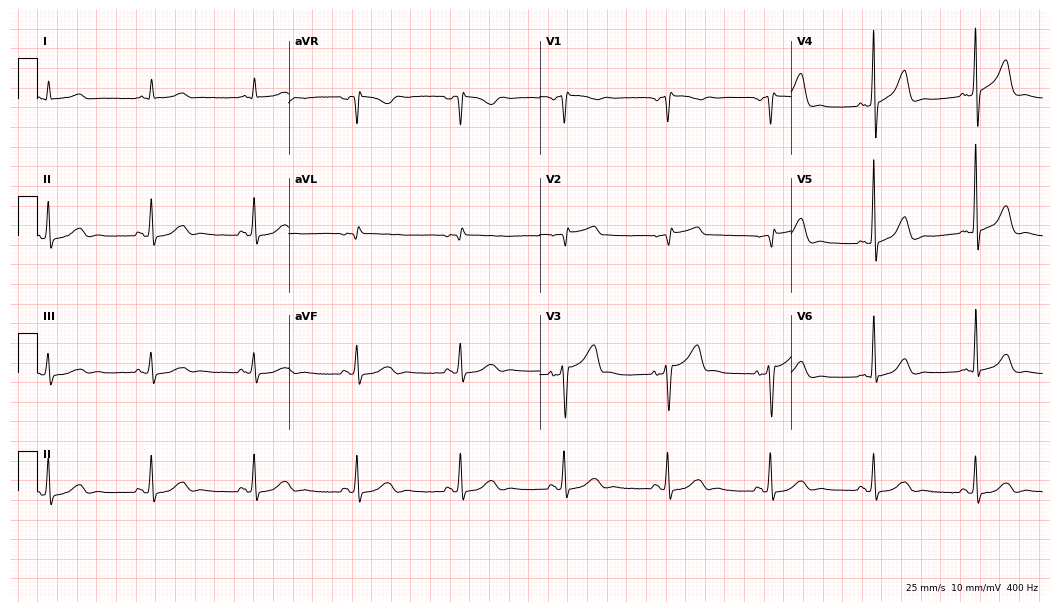
12-lead ECG (10.2-second recording at 400 Hz) from a man, 67 years old. Screened for six findings — first-degree AV block, right bundle branch block, left bundle branch block, sinus bradycardia, atrial fibrillation, sinus tachycardia — none is recorded. Findings outside these six are not listed.